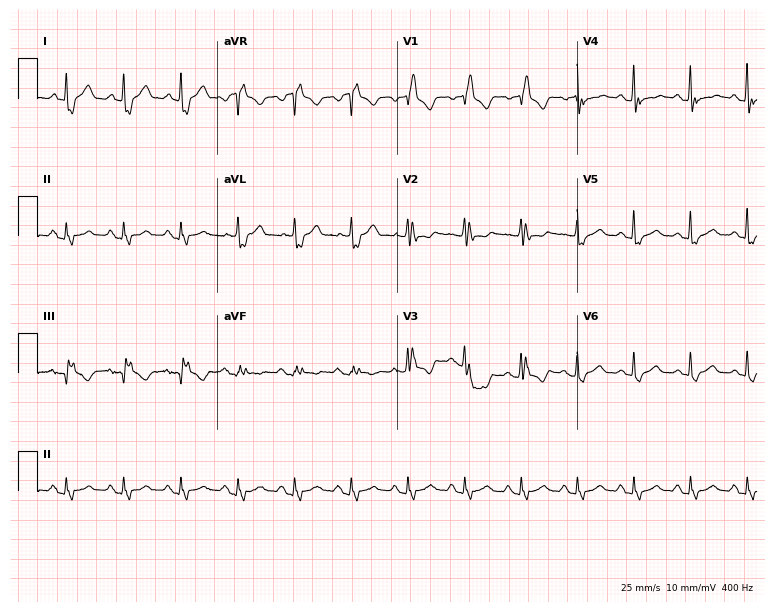
Resting 12-lead electrocardiogram (7.3-second recording at 400 Hz). Patient: a 68-year-old female. None of these six findings is recorded: first-degree AV block, right bundle branch block, left bundle branch block, sinus bradycardia, atrial fibrillation, sinus tachycardia. Only these six findings were labelled.